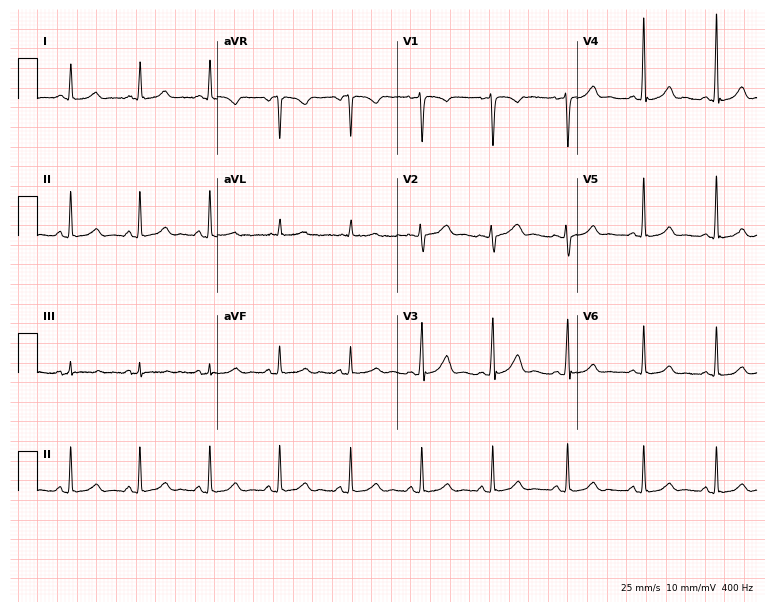
Electrocardiogram, a 34-year-old woman. Overall reading on record: normal ECG.